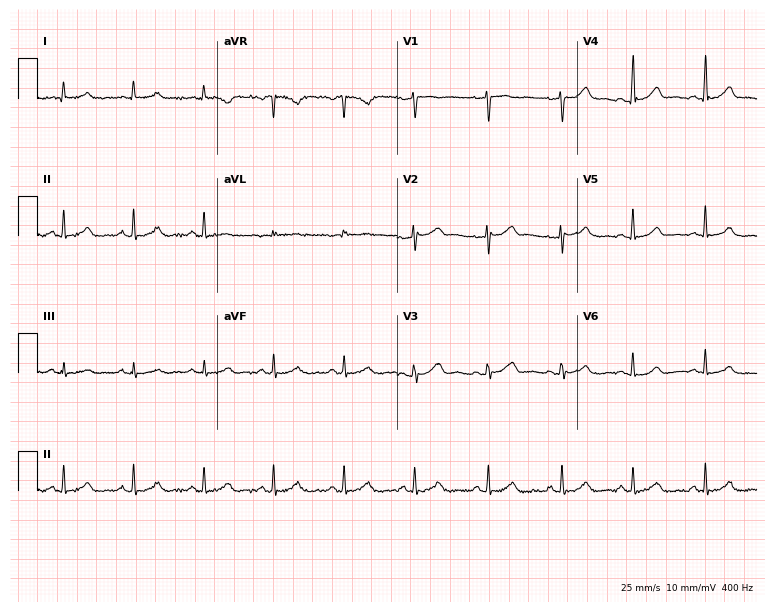
Standard 12-lead ECG recorded from a female, 44 years old (7.3-second recording at 400 Hz). Read as a normal ECG.